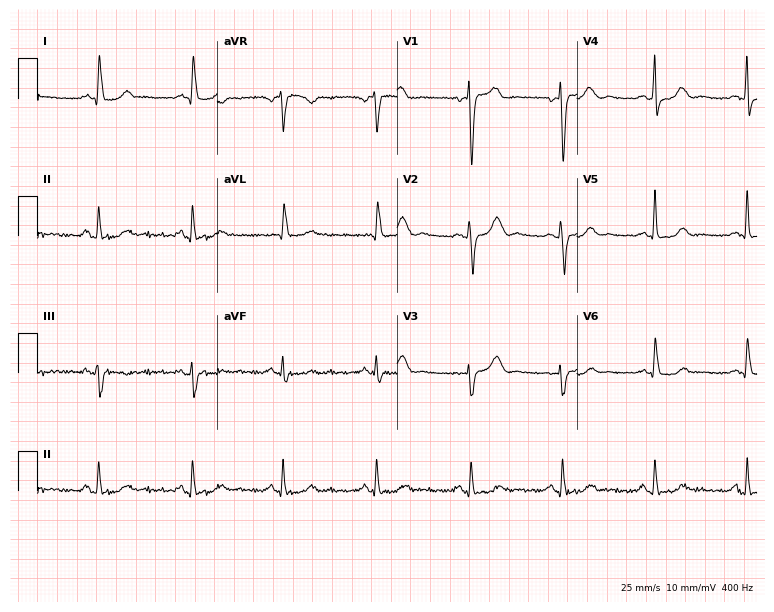
Resting 12-lead electrocardiogram (7.3-second recording at 400 Hz). Patient: an 82-year-old woman. None of these six findings is recorded: first-degree AV block, right bundle branch block, left bundle branch block, sinus bradycardia, atrial fibrillation, sinus tachycardia.